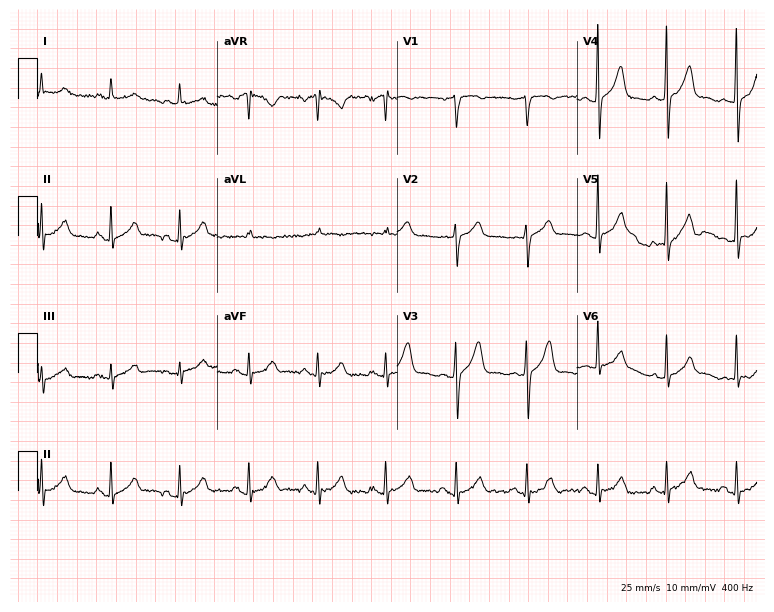
ECG (7.3-second recording at 400 Hz) — a 47-year-old man. Labelled as a normal ECG.